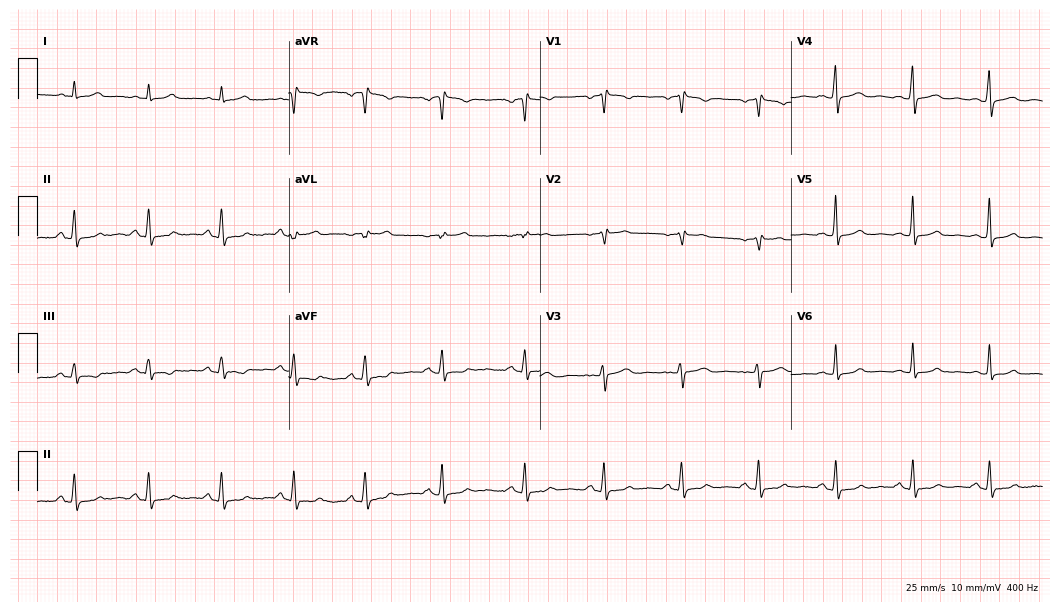
ECG (10.2-second recording at 400 Hz) — a 61-year-old female patient. Labelled as a normal ECG.